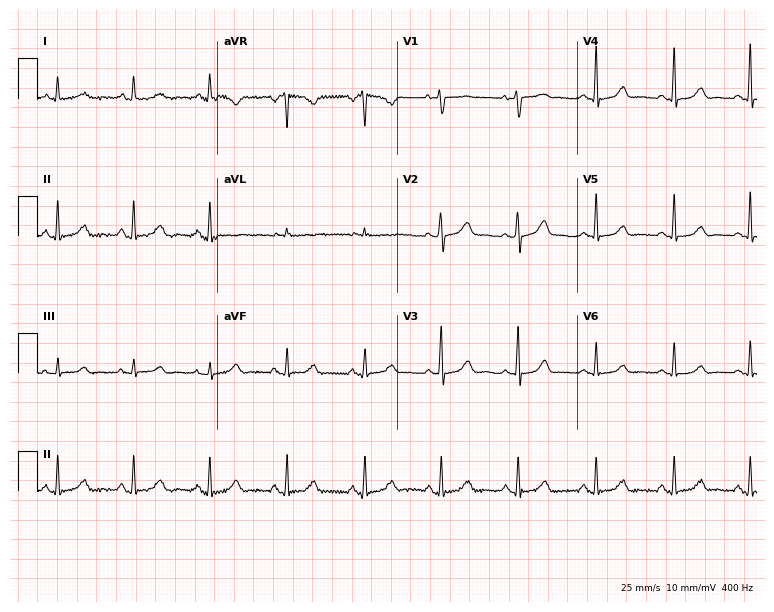
Electrocardiogram (7.3-second recording at 400 Hz), a female, 50 years old. Of the six screened findings (first-degree AV block, right bundle branch block, left bundle branch block, sinus bradycardia, atrial fibrillation, sinus tachycardia), none is recorded.